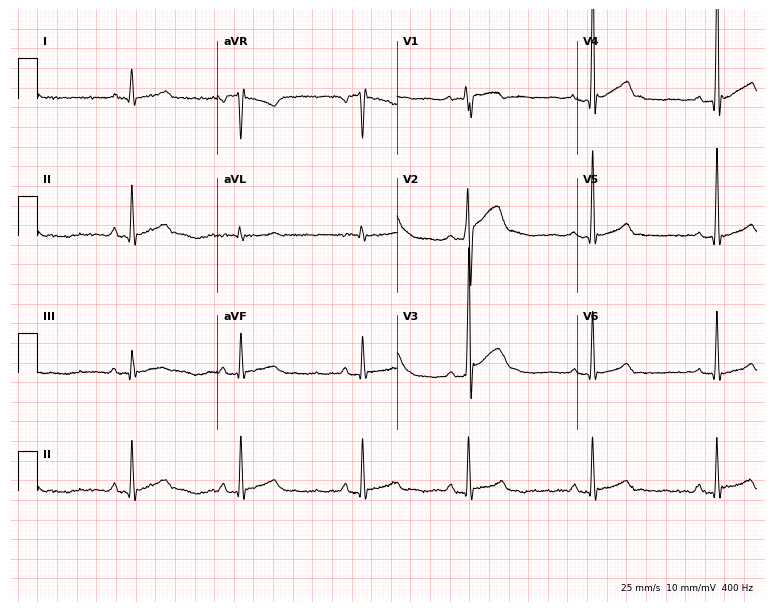
Resting 12-lead electrocardiogram (7.3-second recording at 400 Hz). Patient: a male, 33 years old. Read as a normal ECG.